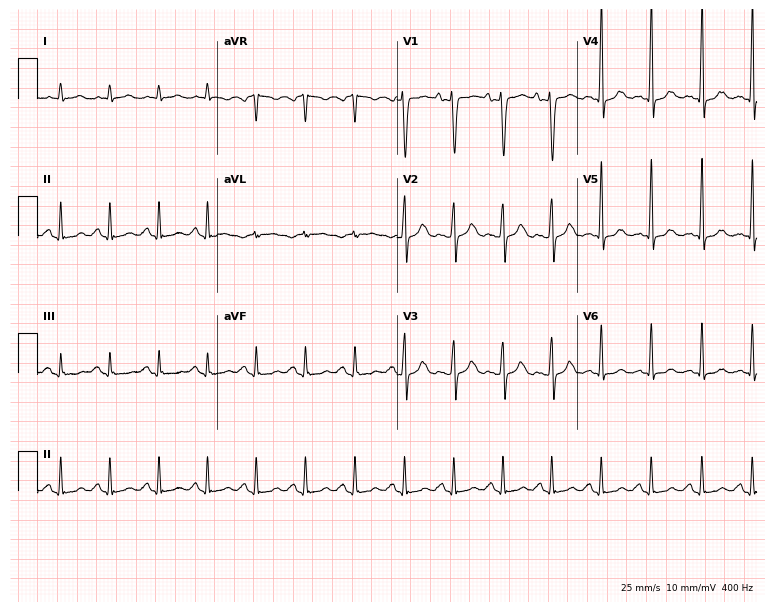
Standard 12-lead ECG recorded from a 33-year-old woman (7.3-second recording at 400 Hz). The tracing shows sinus tachycardia (a sinus rate of 100 beats per minute or more).